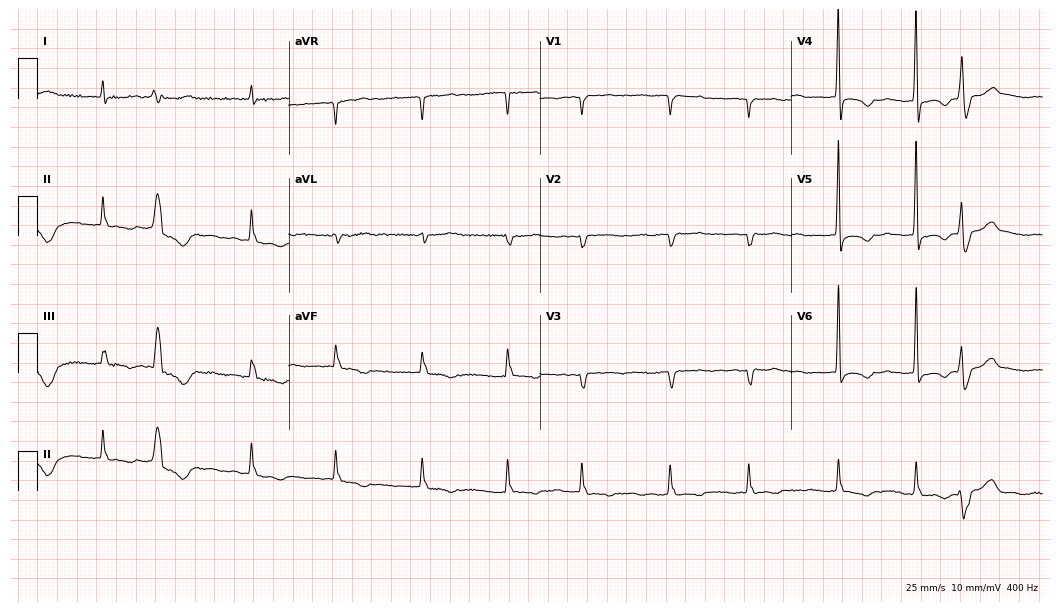
Standard 12-lead ECG recorded from a female, 79 years old (10.2-second recording at 400 Hz). The tracing shows atrial fibrillation.